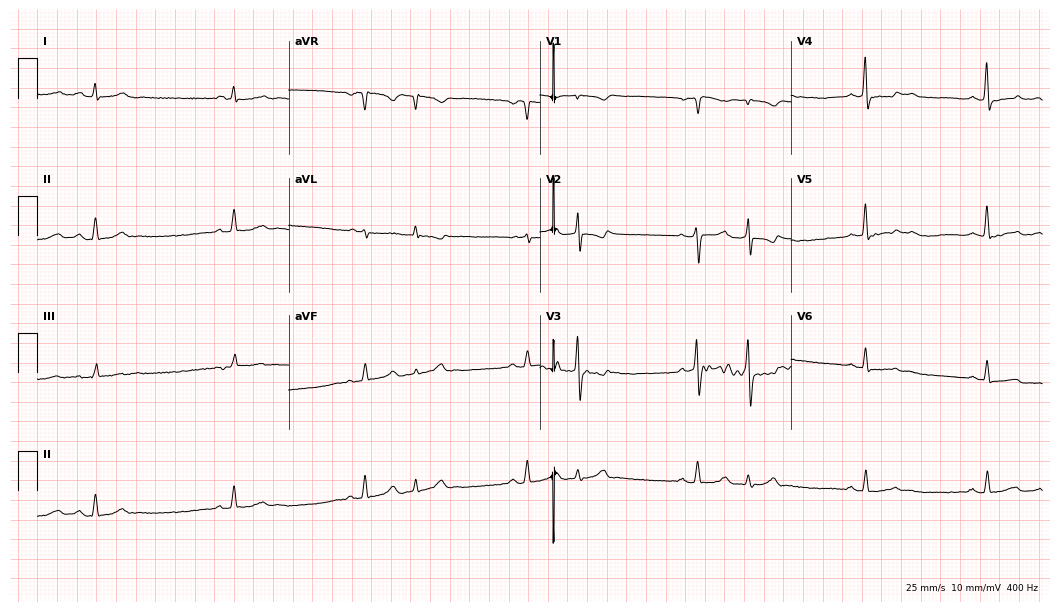
12-lead ECG from a 52-year-old male patient (10.2-second recording at 400 Hz). No first-degree AV block, right bundle branch block, left bundle branch block, sinus bradycardia, atrial fibrillation or sinus tachycardia recorded for this tracing.